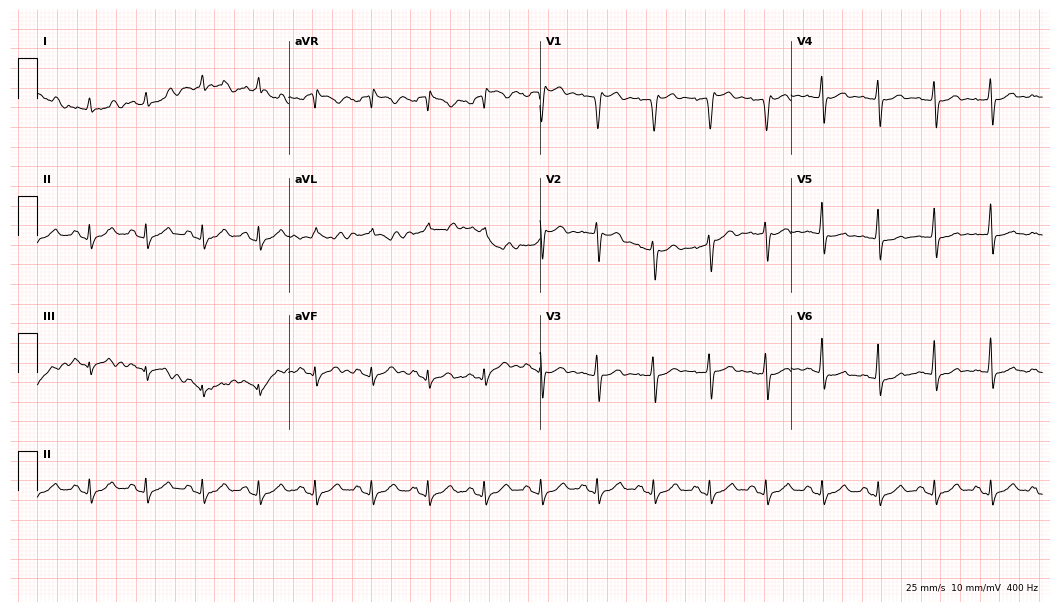
12-lead ECG from a male, 68 years old (10.2-second recording at 400 Hz). Shows sinus tachycardia (a sinus rate of 100 beats per minute or more).